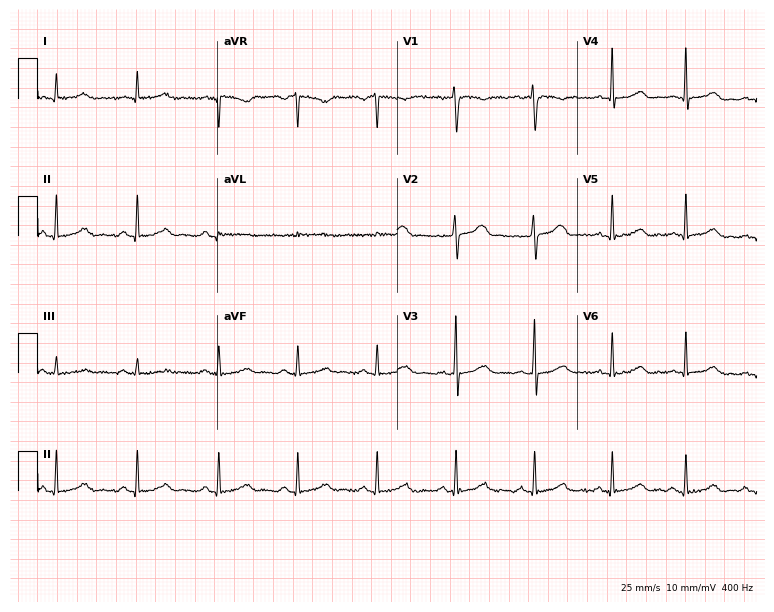
Resting 12-lead electrocardiogram (7.3-second recording at 400 Hz). Patient: a 40-year-old female. Read as a normal ECG.